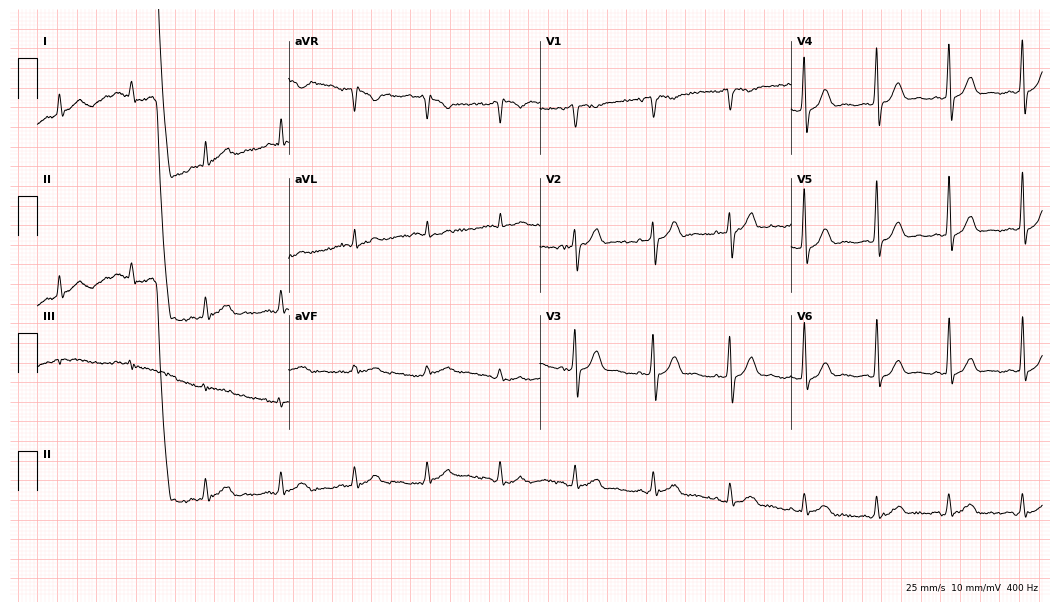
12-lead ECG from a 44-year-old man (10.2-second recording at 400 Hz). Recorded interpretation: within normal limits.